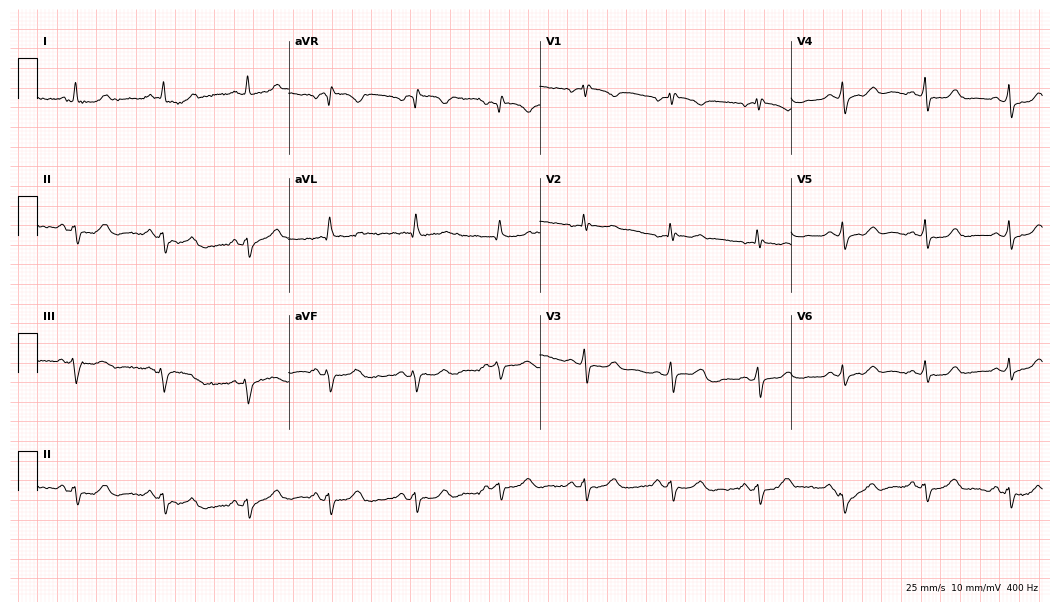
12-lead ECG from a female, 59 years old (10.2-second recording at 400 Hz). No first-degree AV block, right bundle branch block (RBBB), left bundle branch block (LBBB), sinus bradycardia, atrial fibrillation (AF) or sinus tachycardia recorded for this tracing. Only these six findings were labelled.